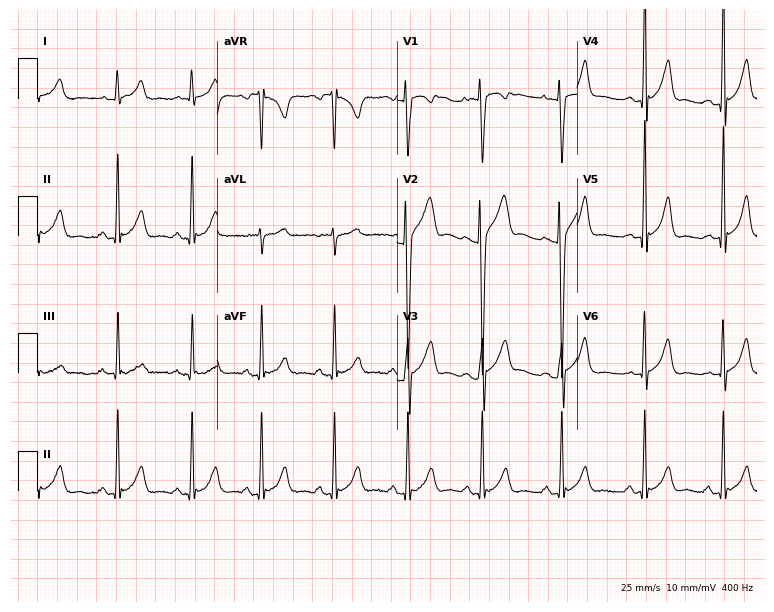
Electrocardiogram, a male, 19 years old. Of the six screened findings (first-degree AV block, right bundle branch block, left bundle branch block, sinus bradycardia, atrial fibrillation, sinus tachycardia), none is recorded. Findings outside these six are not listed.